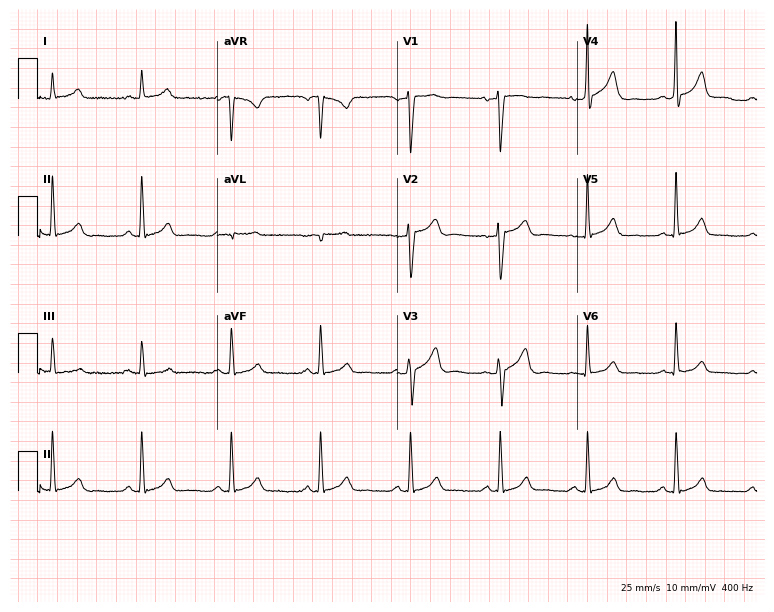
Electrocardiogram (7.3-second recording at 400 Hz), a male, 41 years old. Overall reading on record: normal ECG.